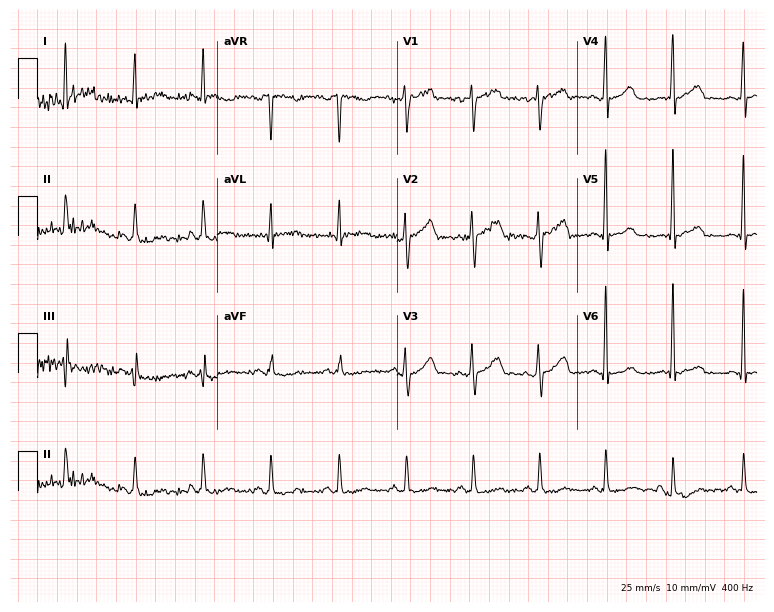
12-lead ECG from a 37-year-old man. No first-degree AV block, right bundle branch block, left bundle branch block, sinus bradycardia, atrial fibrillation or sinus tachycardia recorded for this tracing.